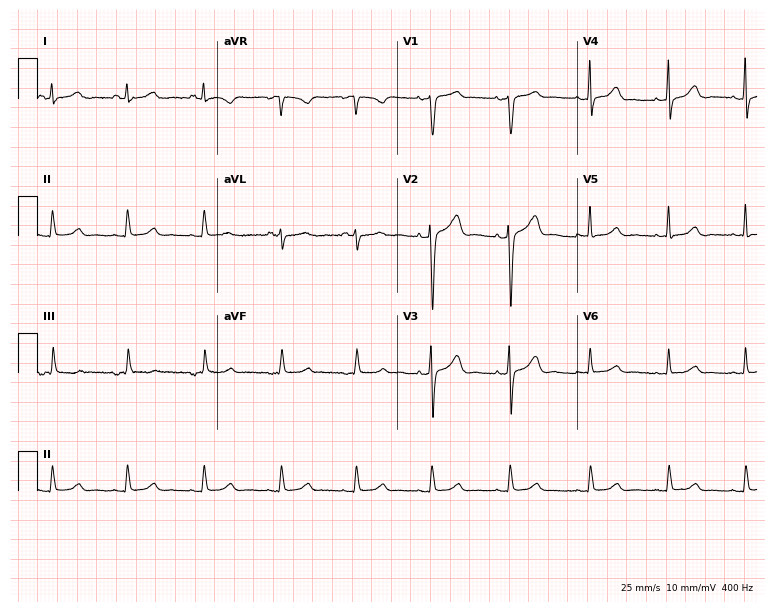
Electrocardiogram (7.3-second recording at 400 Hz), a female, 57 years old. Overall reading on record: normal ECG.